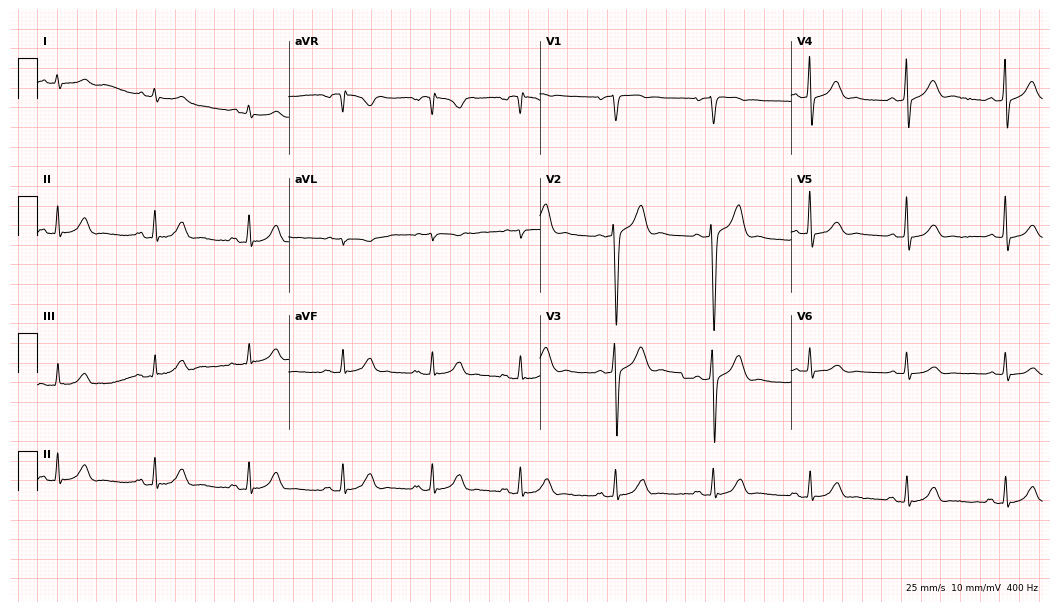
12-lead ECG from a 70-year-old male patient. Recorded interpretation: within normal limits.